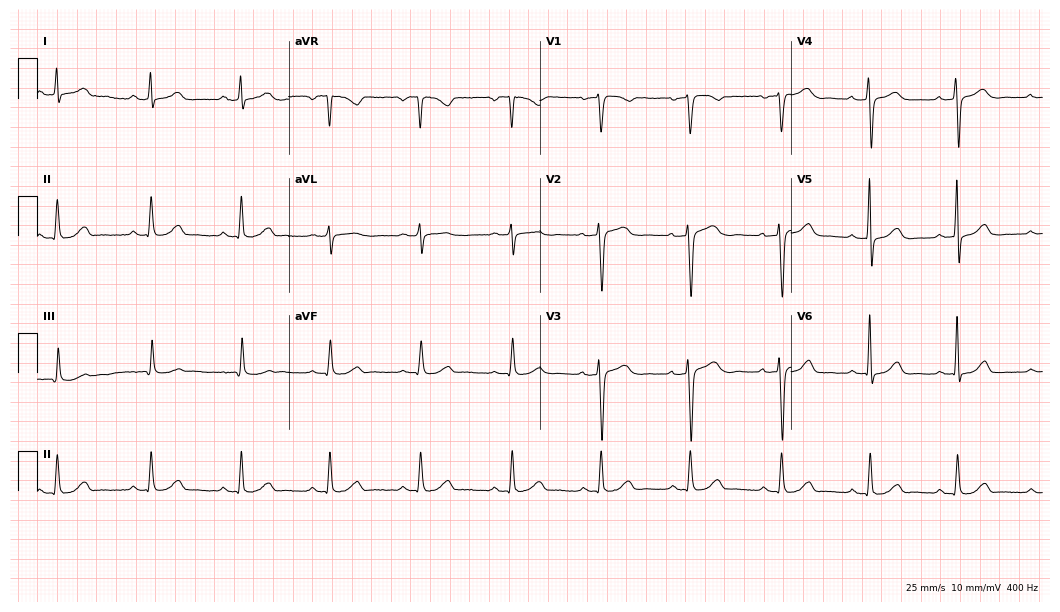
Standard 12-lead ECG recorded from a 47-year-old female. Read as a normal ECG.